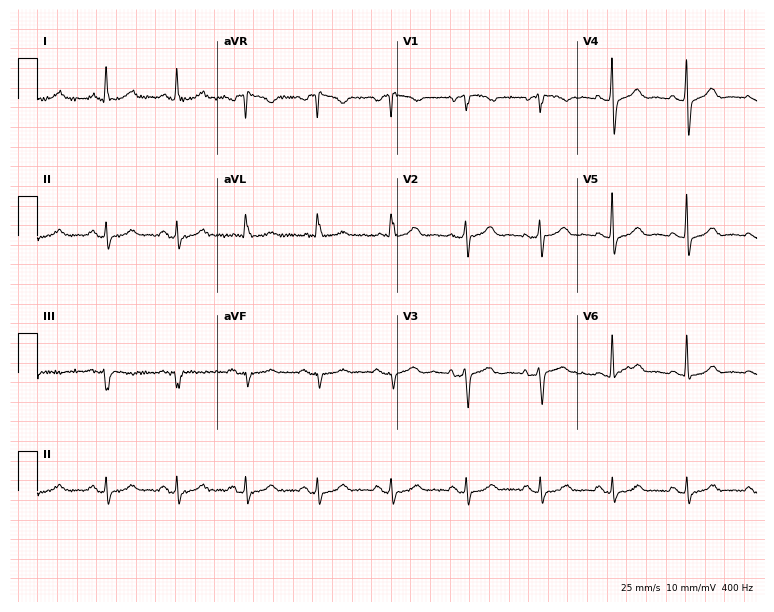
12-lead ECG from an 82-year-old woman (7.3-second recording at 400 Hz). No first-degree AV block, right bundle branch block (RBBB), left bundle branch block (LBBB), sinus bradycardia, atrial fibrillation (AF) or sinus tachycardia recorded for this tracing. Other findings, if any, are not listed.